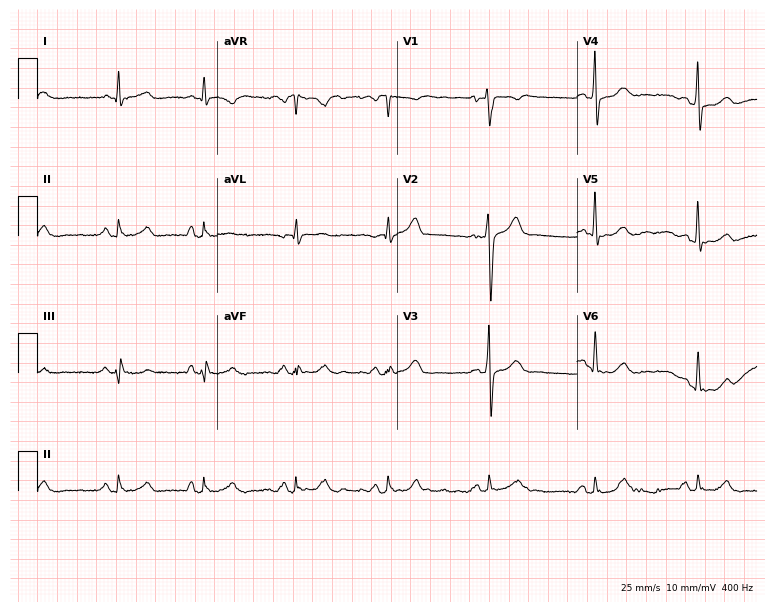
12-lead ECG from a 44-year-old male. Recorded interpretation: within normal limits.